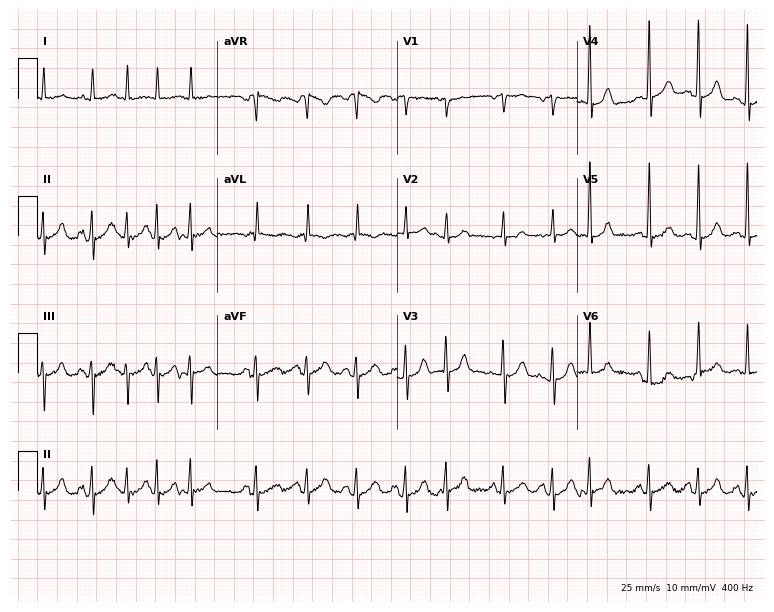
Electrocardiogram (7.3-second recording at 400 Hz), a male patient, 84 years old. Of the six screened findings (first-degree AV block, right bundle branch block, left bundle branch block, sinus bradycardia, atrial fibrillation, sinus tachycardia), none is recorded. Only these six findings were labelled.